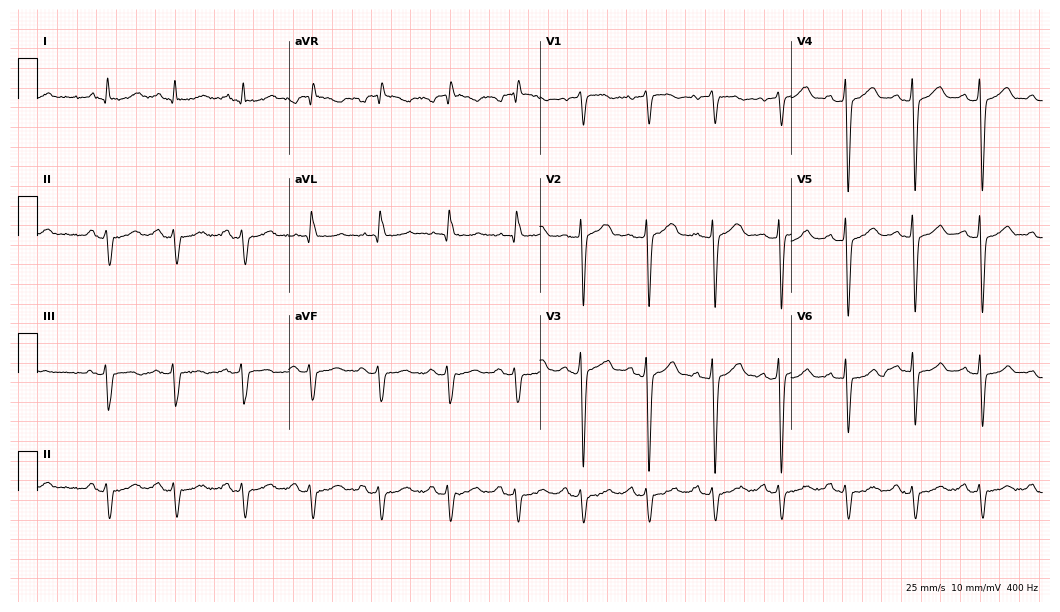
12-lead ECG from a male patient, 86 years old (10.2-second recording at 400 Hz). No first-degree AV block, right bundle branch block, left bundle branch block, sinus bradycardia, atrial fibrillation or sinus tachycardia recorded for this tracing.